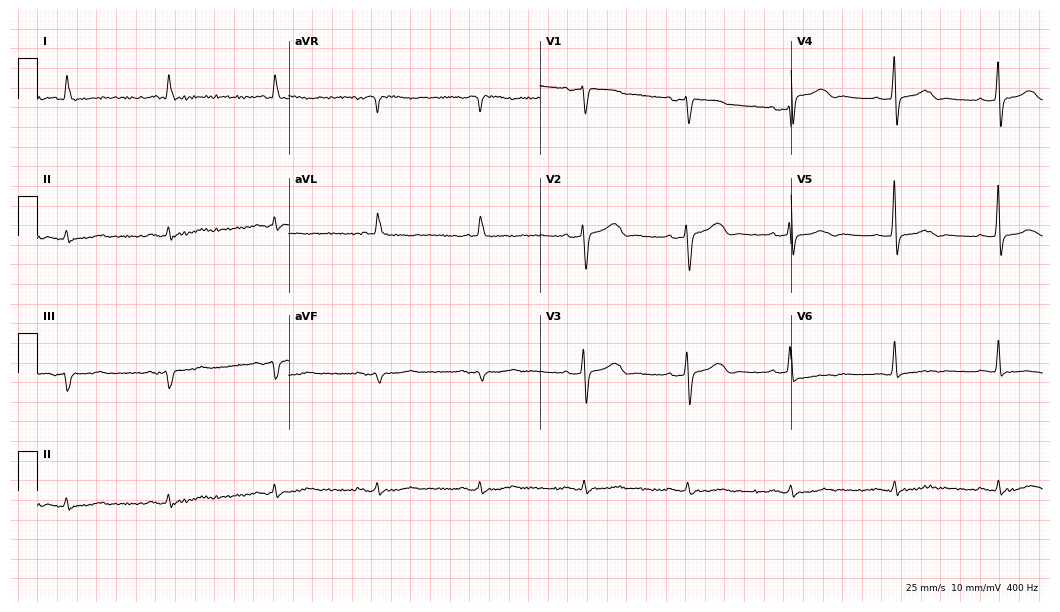
Resting 12-lead electrocardiogram. Patient: an 83-year-old female. None of these six findings is recorded: first-degree AV block, right bundle branch block, left bundle branch block, sinus bradycardia, atrial fibrillation, sinus tachycardia.